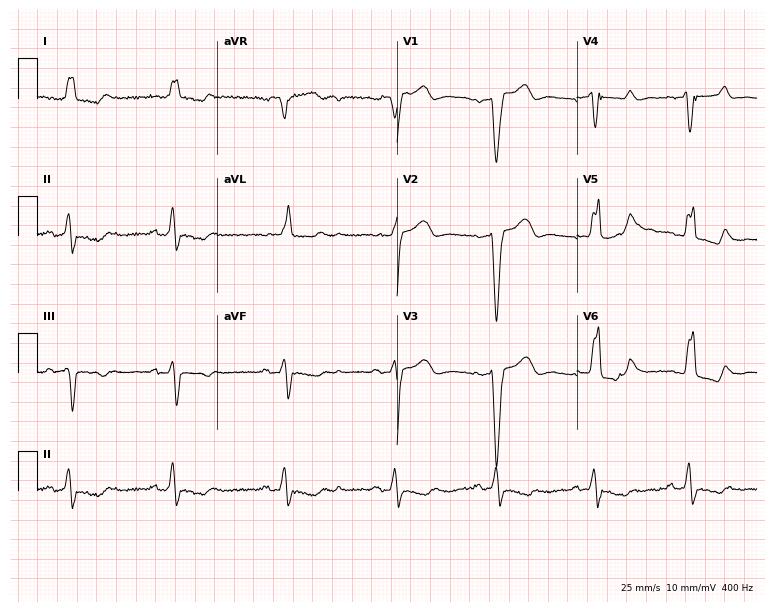
Electrocardiogram (7.3-second recording at 400 Hz), a male patient, 82 years old. Interpretation includes left bundle branch block.